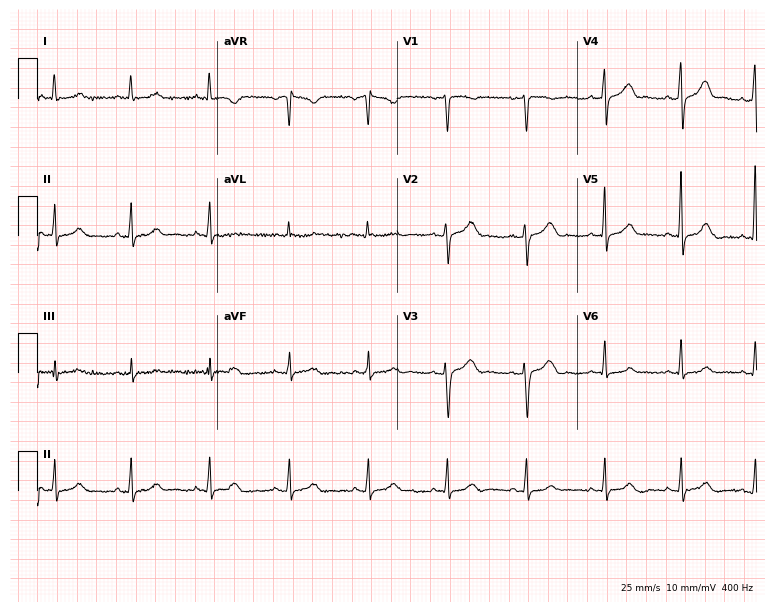
12-lead ECG from a 44-year-old female patient. Labelled as a normal ECG.